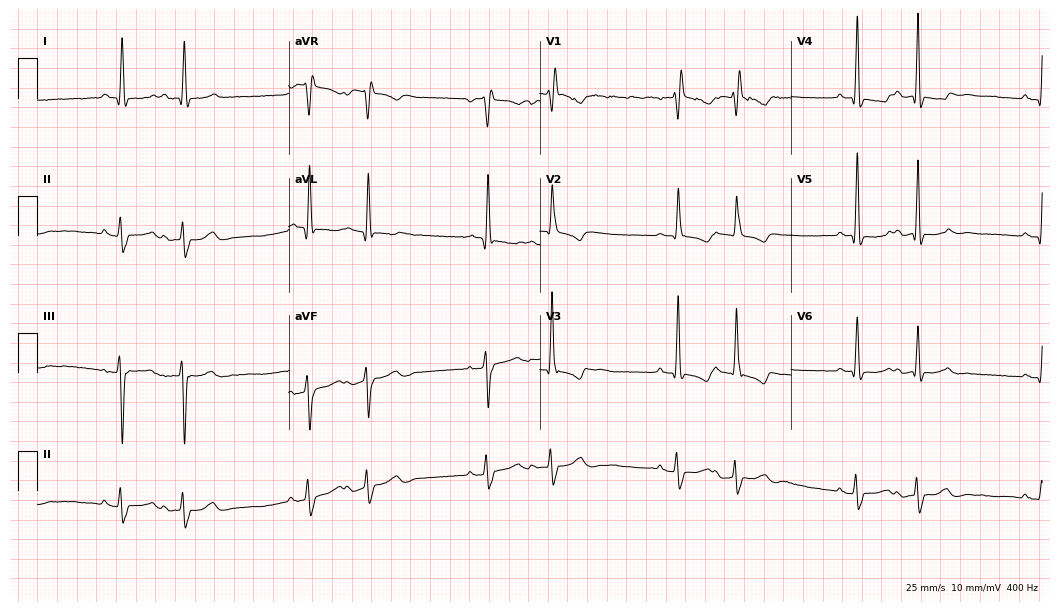
12-lead ECG (10.2-second recording at 400 Hz) from a woman, 78 years old. Findings include right bundle branch block.